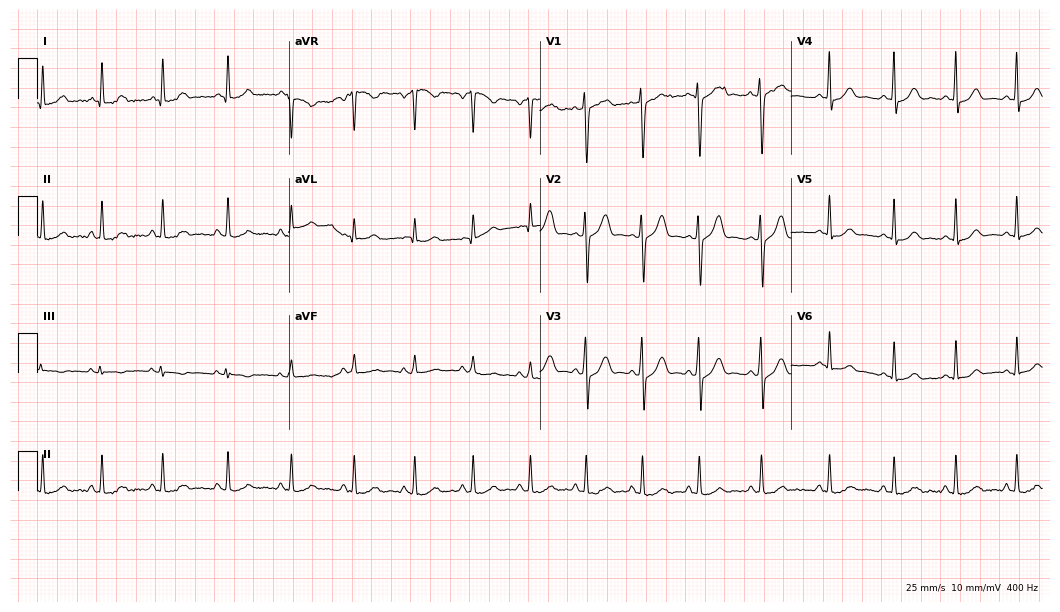
Electrocardiogram (10.2-second recording at 400 Hz), a 19-year-old woman. Of the six screened findings (first-degree AV block, right bundle branch block (RBBB), left bundle branch block (LBBB), sinus bradycardia, atrial fibrillation (AF), sinus tachycardia), none is recorded.